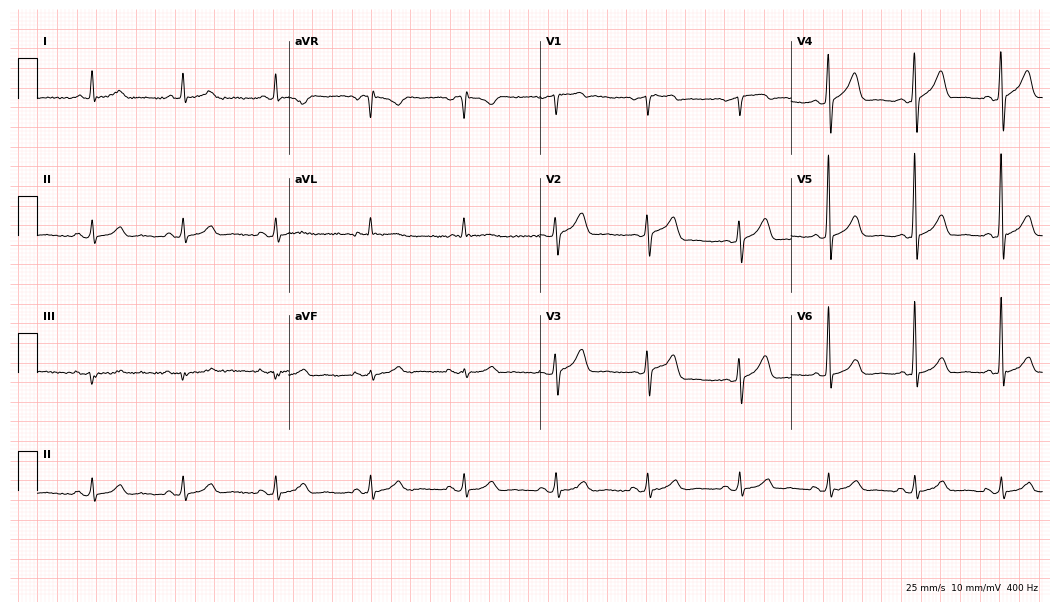
Resting 12-lead electrocardiogram. Patient: a 62-year-old man. Read as a normal ECG.